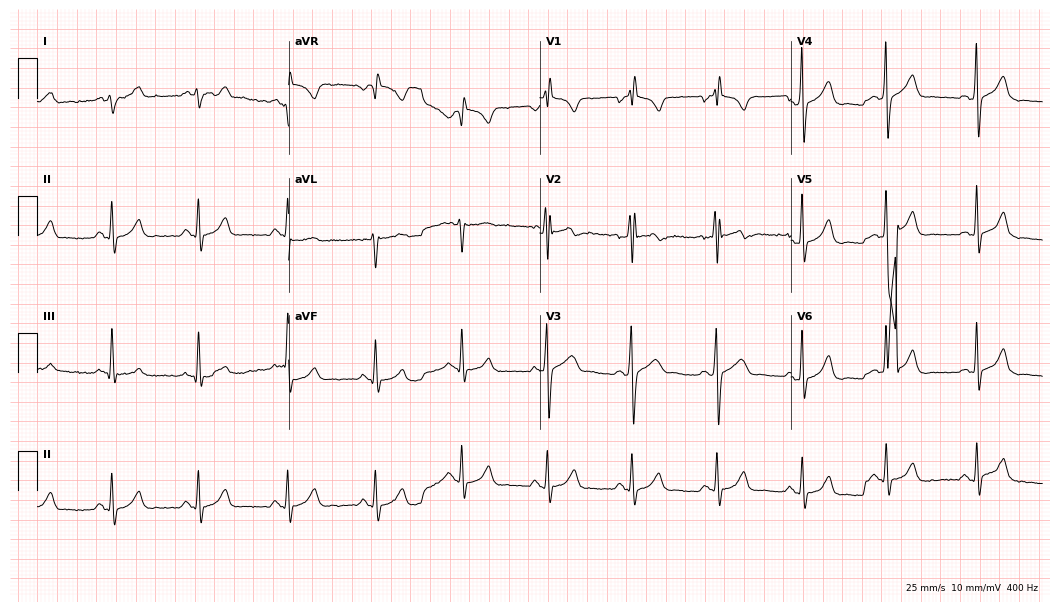
12-lead ECG from a 32-year-old male patient (10.2-second recording at 400 Hz). No first-degree AV block, right bundle branch block, left bundle branch block, sinus bradycardia, atrial fibrillation or sinus tachycardia recorded for this tracing.